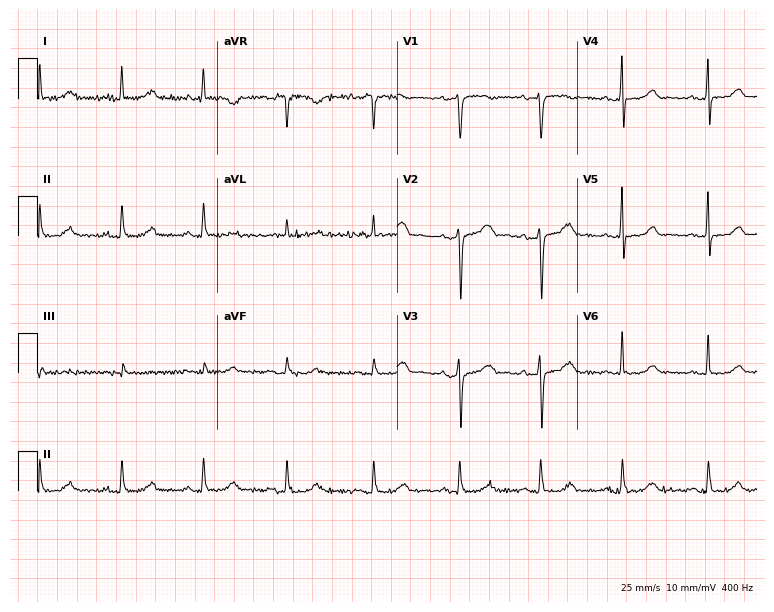
ECG (7.3-second recording at 400 Hz) — a female, 53 years old. Labelled as a normal ECG.